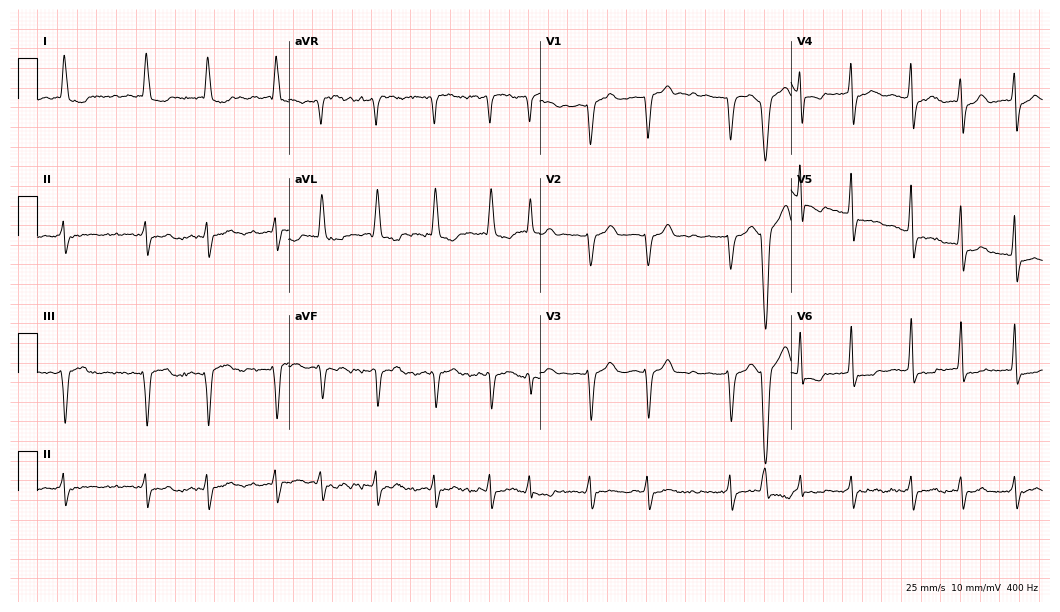
12-lead ECG from a 77-year-old female patient (10.2-second recording at 400 Hz). Shows atrial fibrillation (AF).